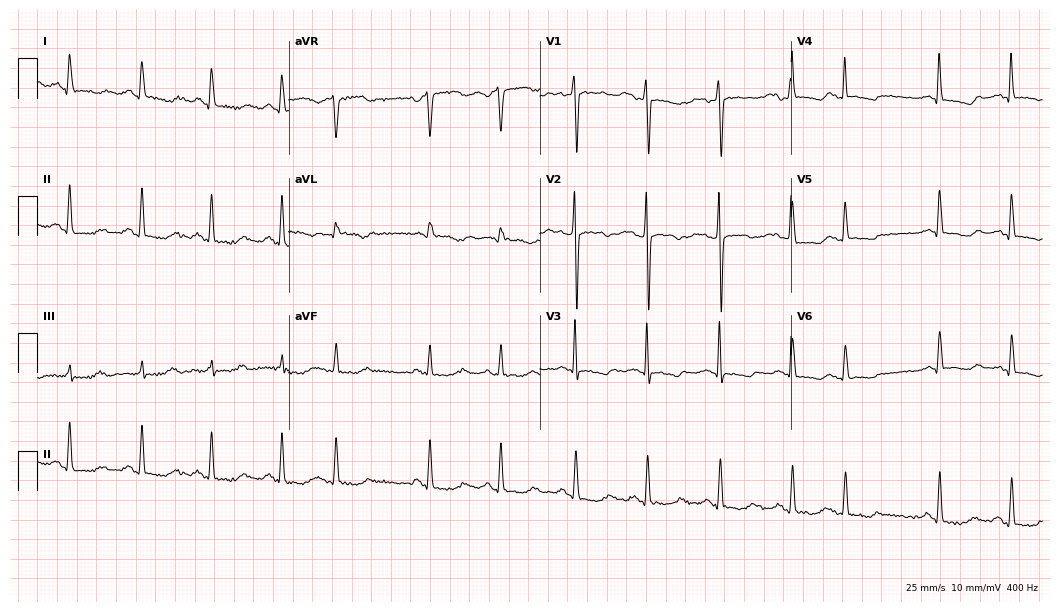
ECG — a 54-year-old woman. Screened for six findings — first-degree AV block, right bundle branch block (RBBB), left bundle branch block (LBBB), sinus bradycardia, atrial fibrillation (AF), sinus tachycardia — none is recorded. Other findings, if any, are not listed.